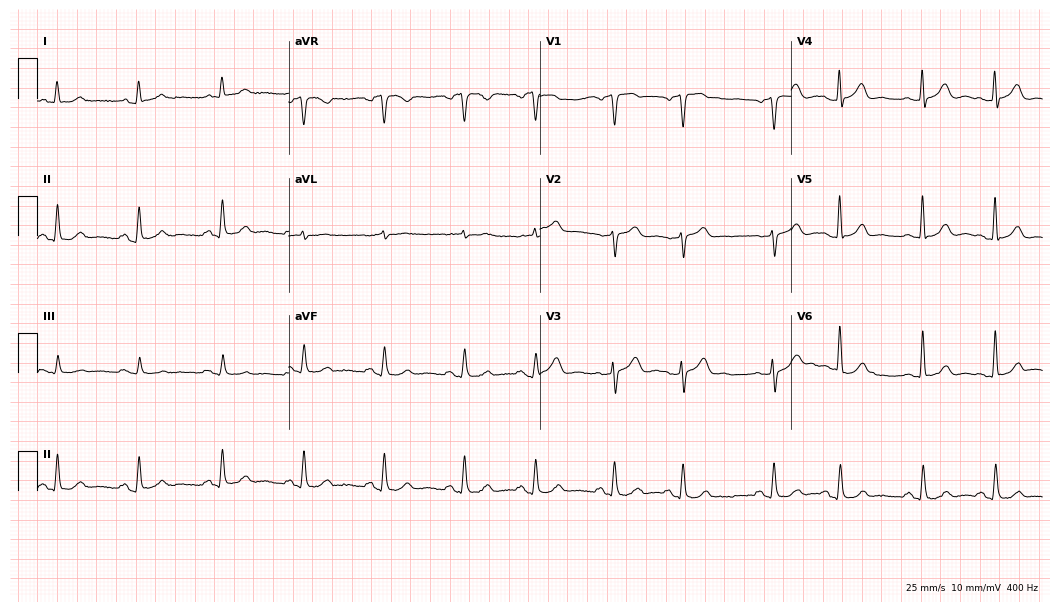
Resting 12-lead electrocardiogram. Patient: a 77-year-old man. Read as a normal ECG.